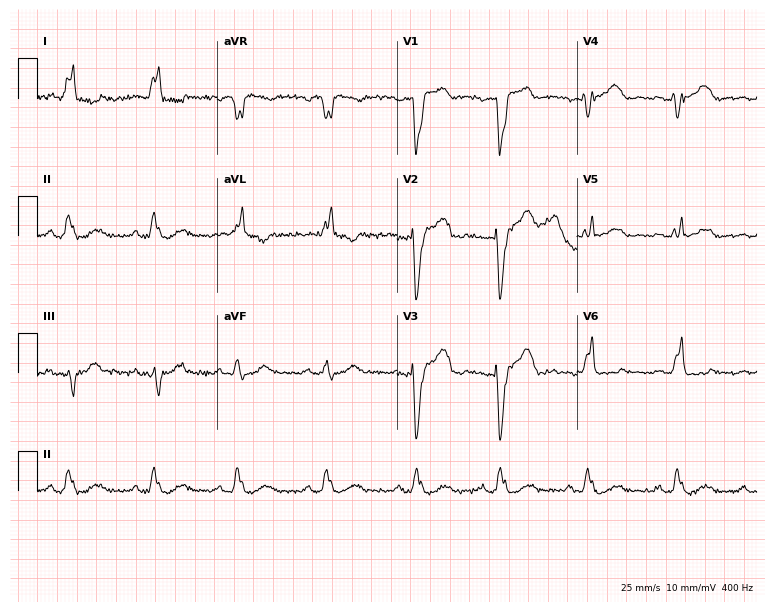
12-lead ECG (7.3-second recording at 400 Hz) from a 49-year-old woman. Screened for six findings — first-degree AV block, right bundle branch block, left bundle branch block, sinus bradycardia, atrial fibrillation, sinus tachycardia — none is recorded. Other findings, if any, are not listed.